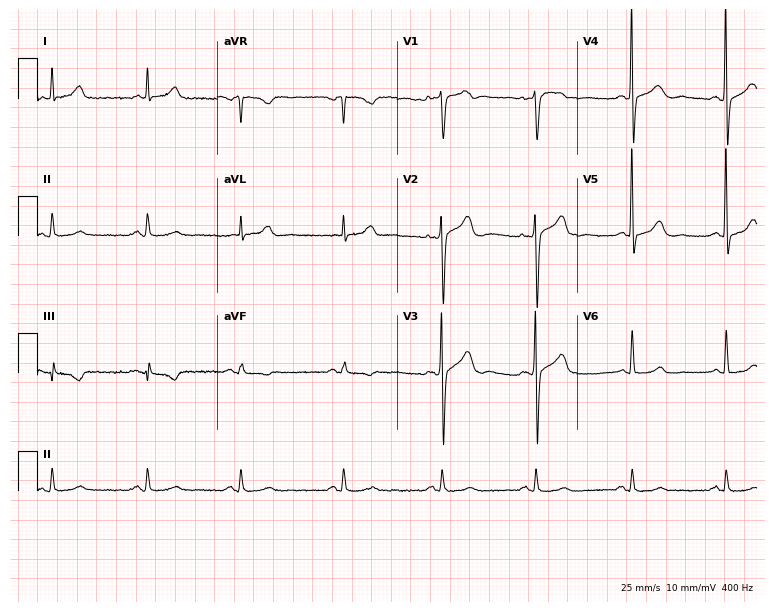
Standard 12-lead ECG recorded from a 71-year-old man. None of these six findings is recorded: first-degree AV block, right bundle branch block (RBBB), left bundle branch block (LBBB), sinus bradycardia, atrial fibrillation (AF), sinus tachycardia. Only these six findings were labelled.